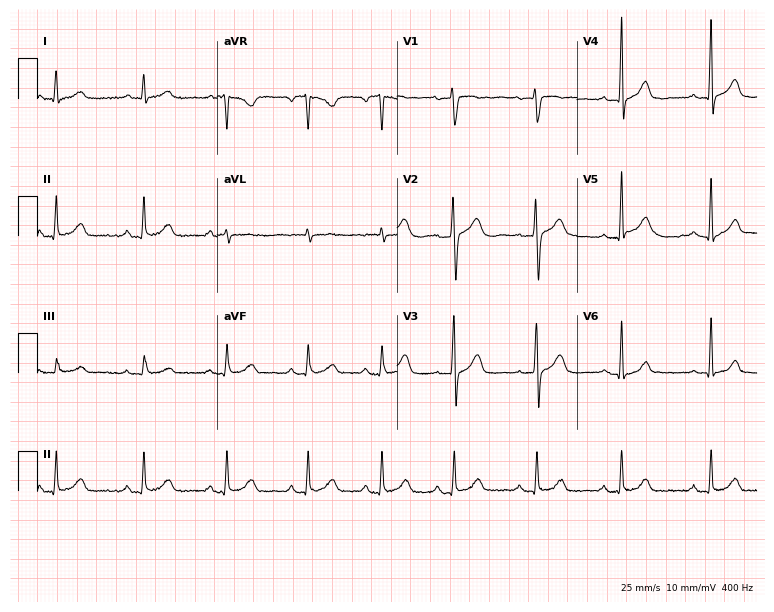
Resting 12-lead electrocardiogram. Patient: a 38-year-old female. Read as a normal ECG.